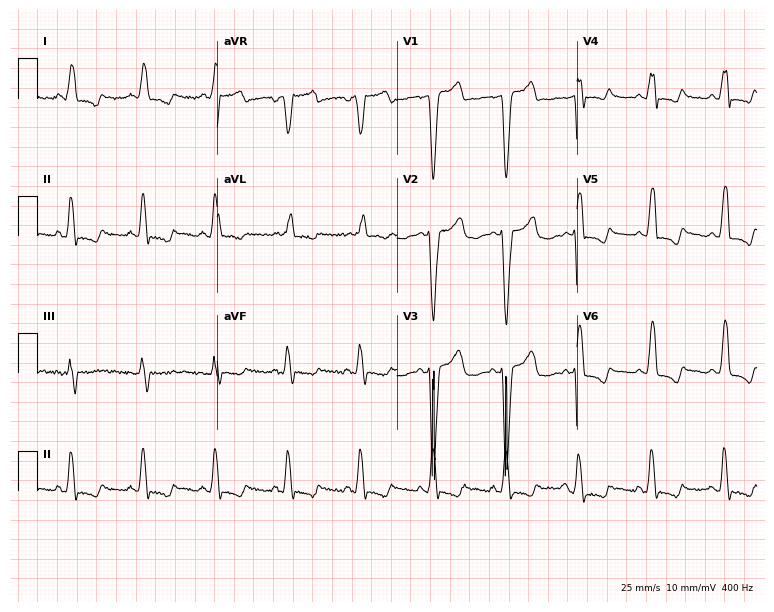
12-lead ECG (7.3-second recording at 400 Hz) from a female, 79 years old. Findings include left bundle branch block (LBBB).